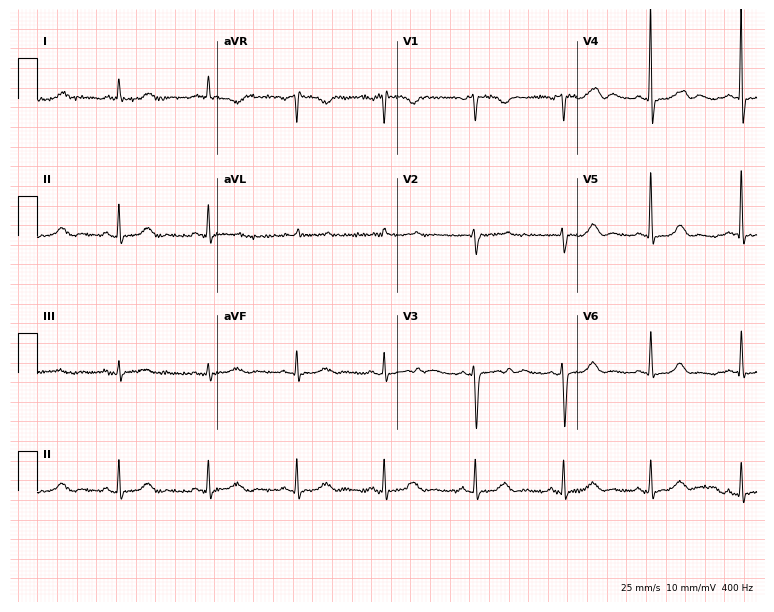
Standard 12-lead ECG recorded from a woman, 62 years old (7.3-second recording at 400 Hz). Read as a normal ECG.